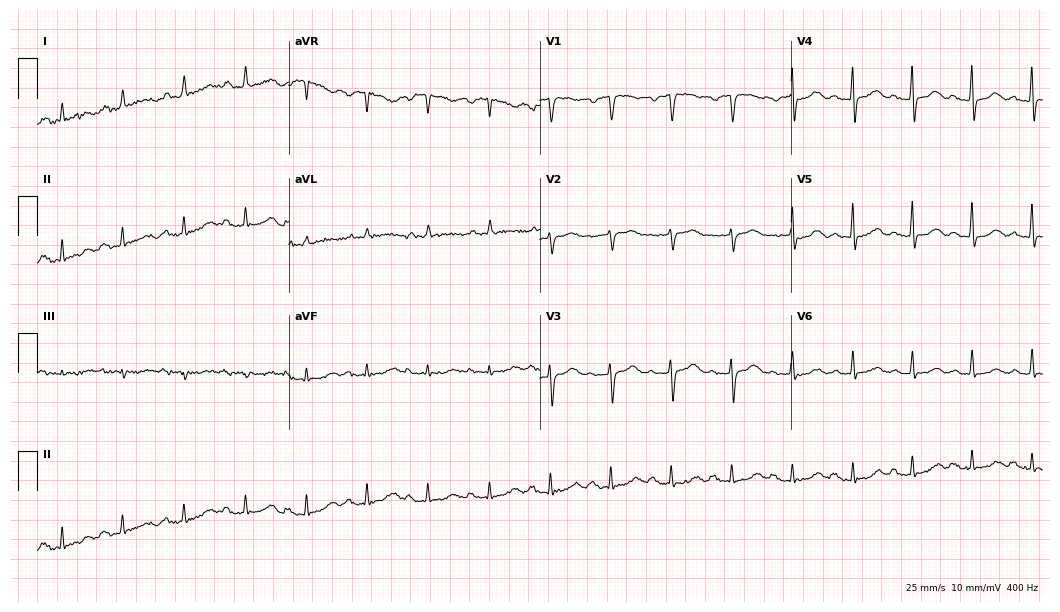
12-lead ECG from a woman, 76 years old. No first-degree AV block, right bundle branch block, left bundle branch block, sinus bradycardia, atrial fibrillation or sinus tachycardia recorded for this tracing.